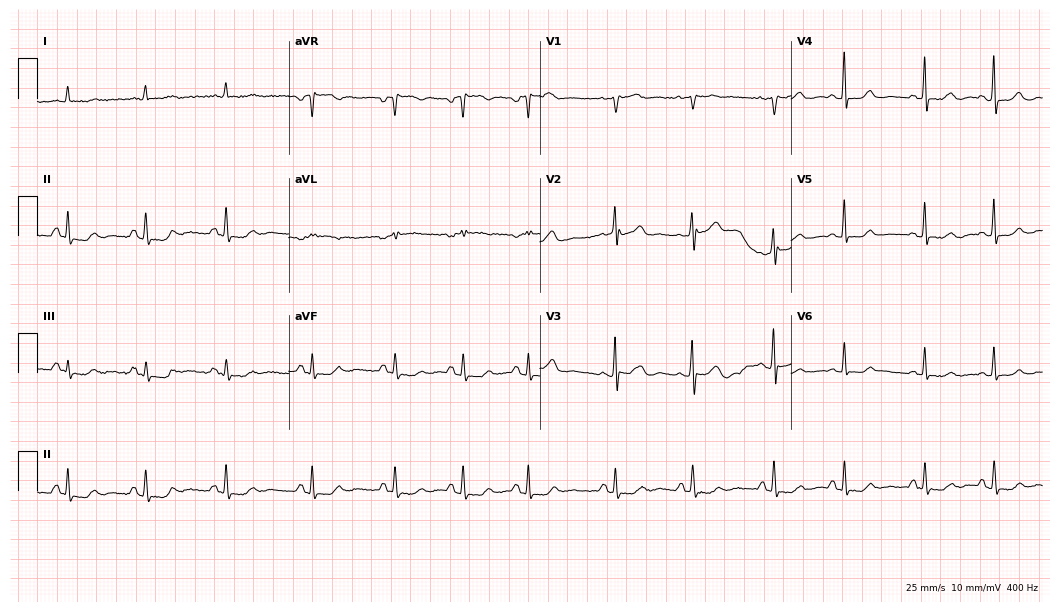
Electrocardiogram, a 76-year-old woman. Of the six screened findings (first-degree AV block, right bundle branch block, left bundle branch block, sinus bradycardia, atrial fibrillation, sinus tachycardia), none is recorded.